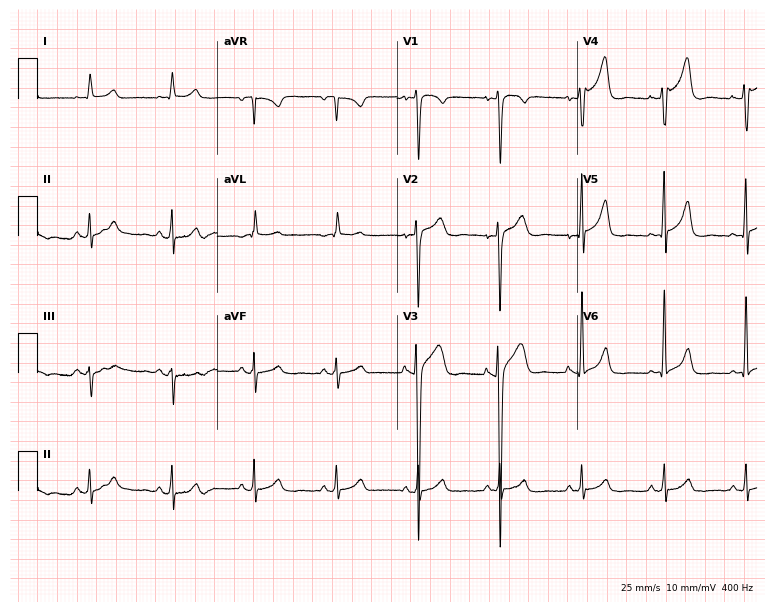
12-lead ECG from a 27-year-old male patient (7.3-second recording at 400 Hz). Recorded interpretation: within normal limits.